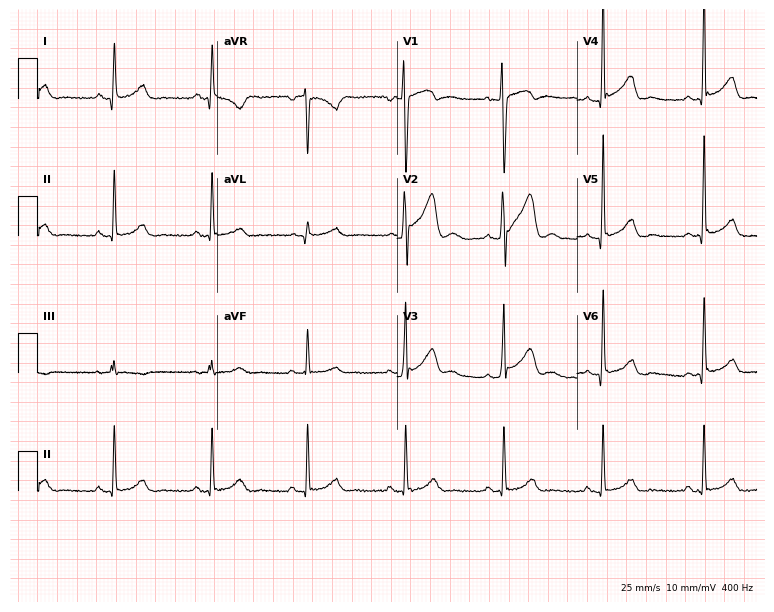
12-lead ECG from a 42-year-old male. Recorded interpretation: within normal limits.